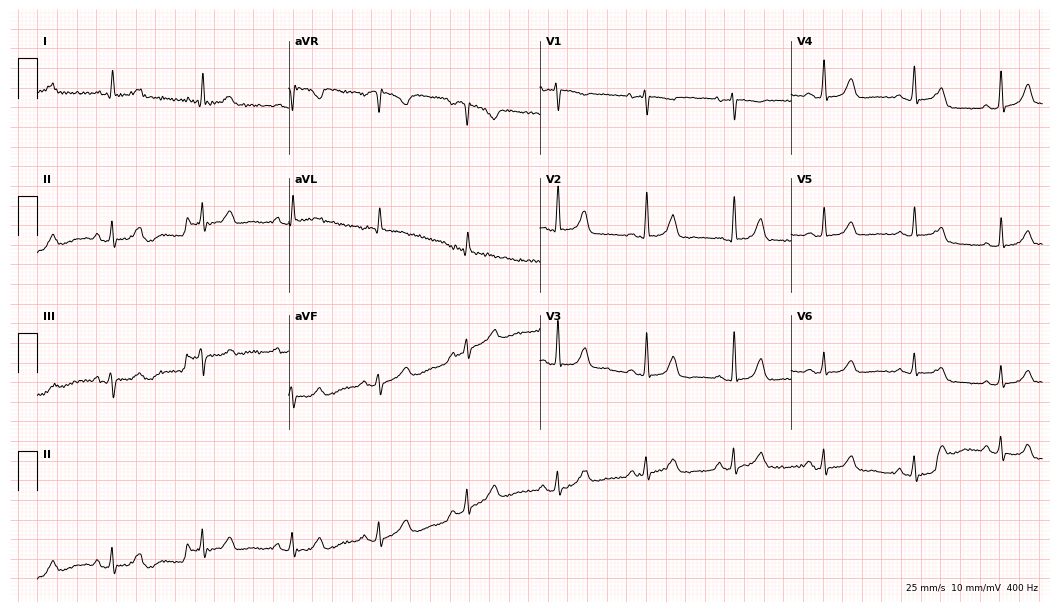
ECG — a female patient, 75 years old. Labelled as a normal ECG.